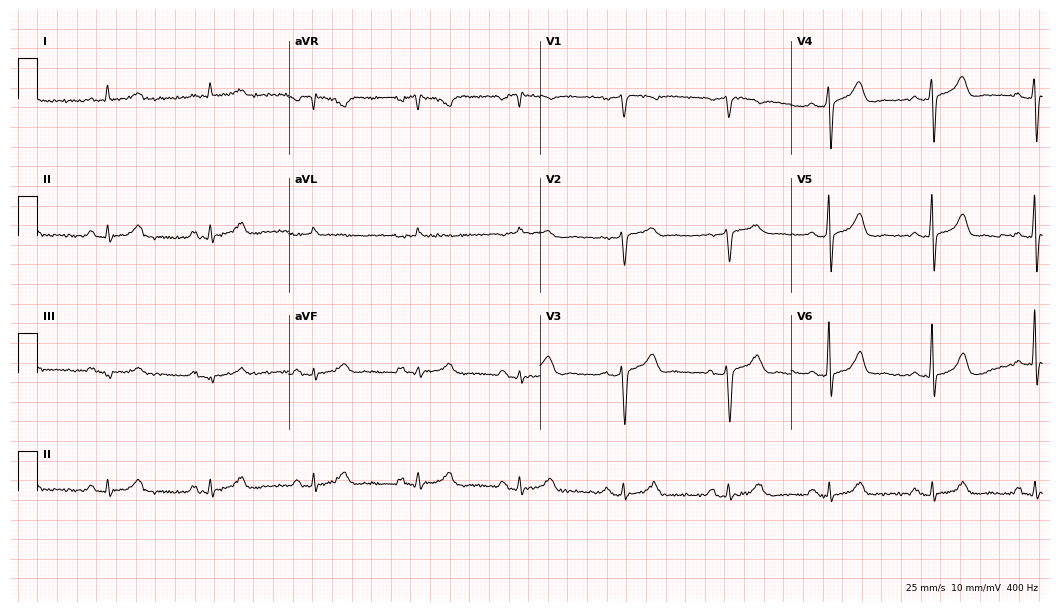
Resting 12-lead electrocardiogram (10.2-second recording at 400 Hz). Patient: a 76-year-old male. Read as a normal ECG.